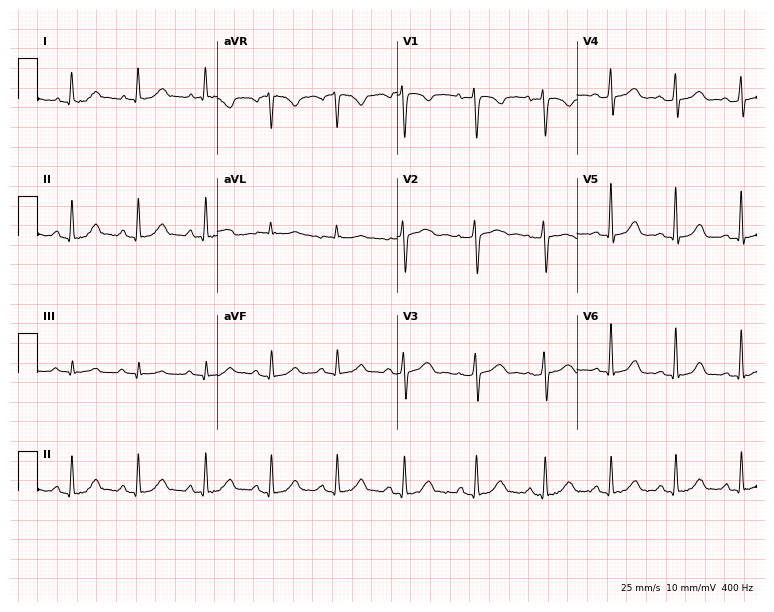
Electrocardiogram, a 37-year-old female patient. Of the six screened findings (first-degree AV block, right bundle branch block, left bundle branch block, sinus bradycardia, atrial fibrillation, sinus tachycardia), none is recorded. Findings outside these six are not listed.